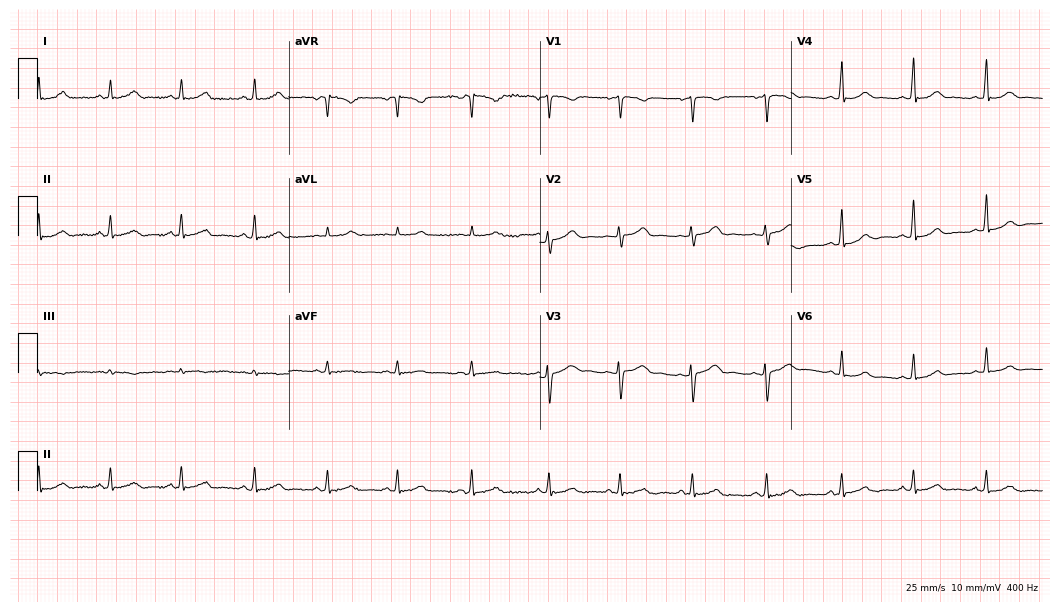
12-lead ECG from a female patient, 28 years old. Recorded interpretation: within normal limits.